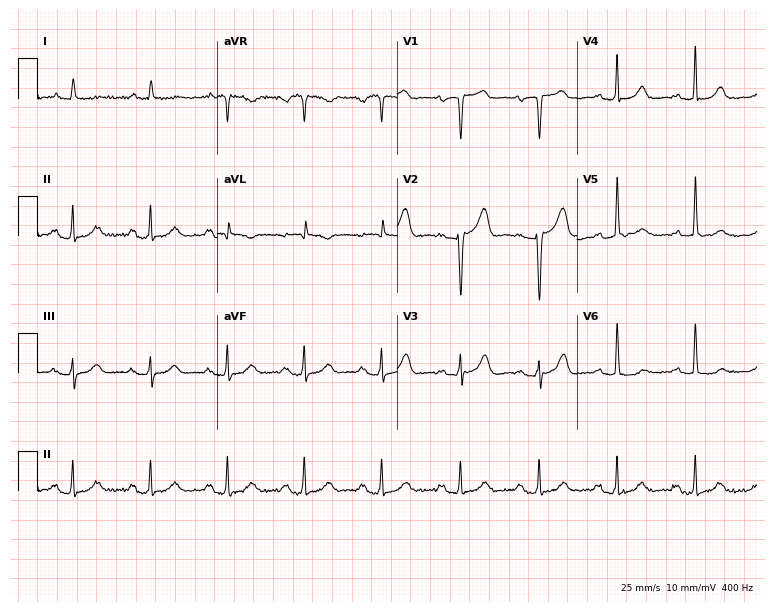
Resting 12-lead electrocardiogram (7.3-second recording at 400 Hz). Patient: a 59-year-old female. None of these six findings is recorded: first-degree AV block, right bundle branch block (RBBB), left bundle branch block (LBBB), sinus bradycardia, atrial fibrillation (AF), sinus tachycardia.